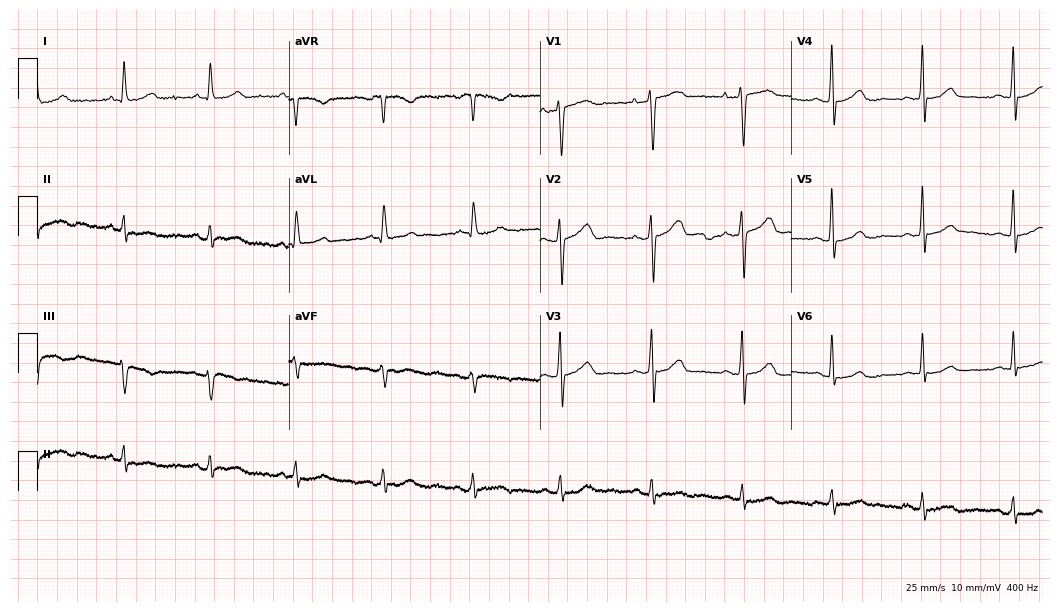
Resting 12-lead electrocardiogram. Patient: a female, 51 years old. None of these six findings is recorded: first-degree AV block, right bundle branch block (RBBB), left bundle branch block (LBBB), sinus bradycardia, atrial fibrillation (AF), sinus tachycardia. Findings outside these six are not listed.